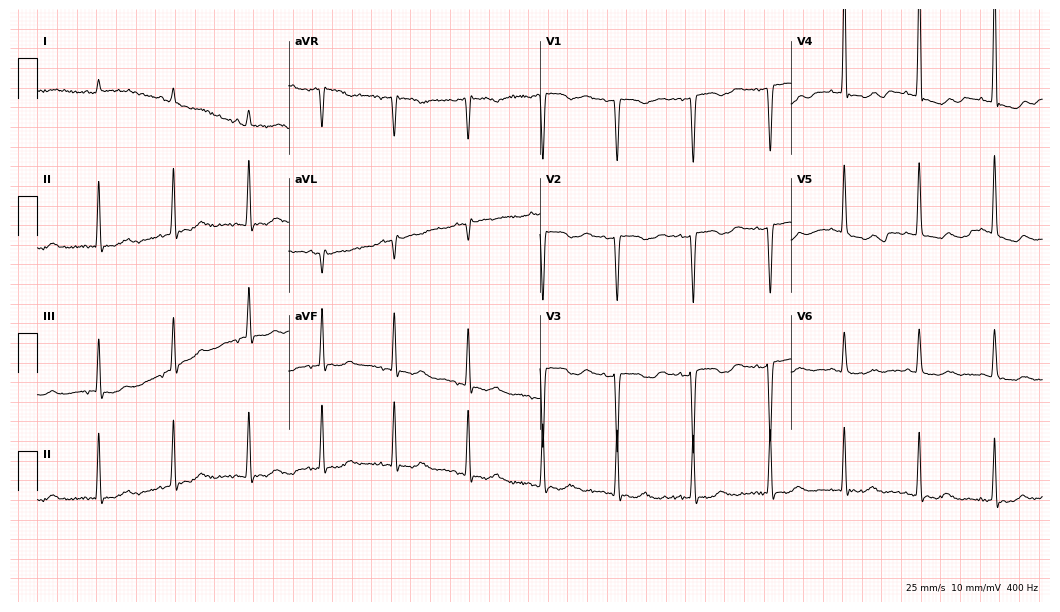
Electrocardiogram, a female patient, 78 years old. Of the six screened findings (first-degree AV block, right bundle branch block (RBBB), left bundle branch block (LBBB), sinus bradycardia, atrial fibrillation (AF), sinus tachycardia), none is recorded.